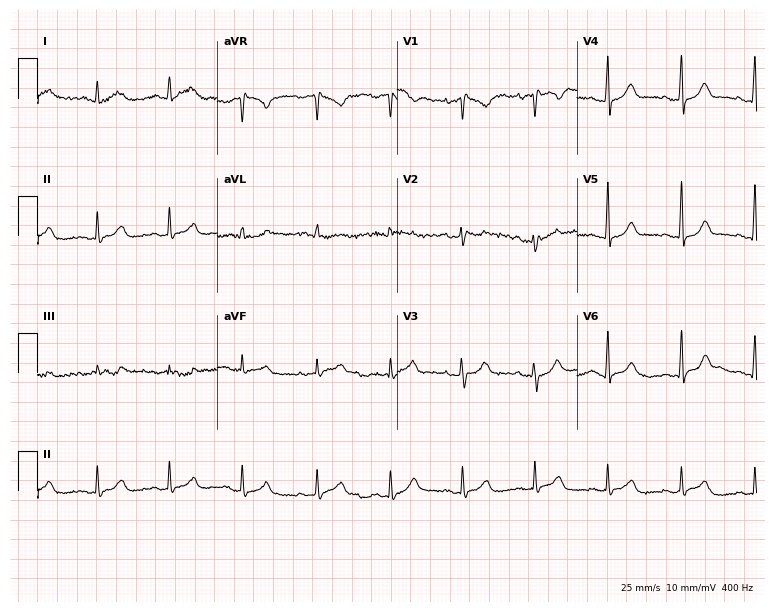
Standard 12-lead ECG recorded from a 31-year-old female patient (7.3-second recording at 400 Hz). None of these six findings is recorded: first-degree AV block, right bundle branch block, left bundle branch block, sinus bradycardia, atrial fibrillation, sinus tachycardia.